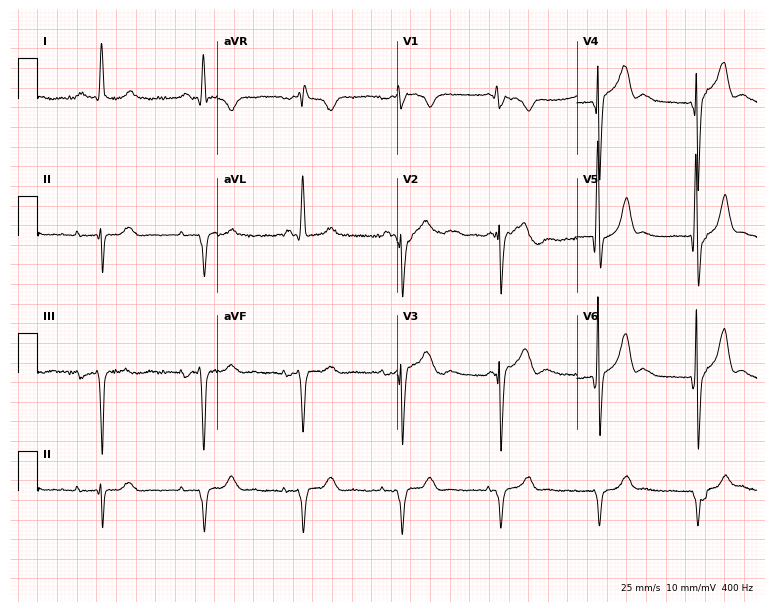
Resting 12-lead electrocardiogram. Patient: a 72-year-old man. None of these six findings is recorded: first-degree AV block, right bundle branch block, left bundle branch block, sinus bradycardia, atrial fibrillation, sinus tachycardia.